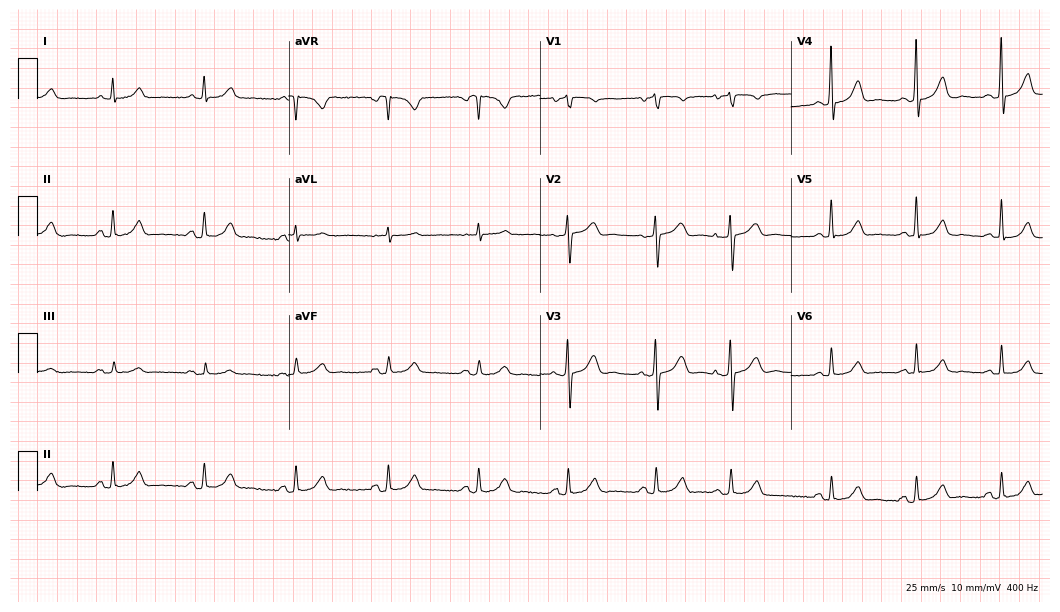
Resting 12-lead electrocardiogram (10.2-second recording at 400 Hz). Patient: a female, 67 years old. Read as a normal ECG.